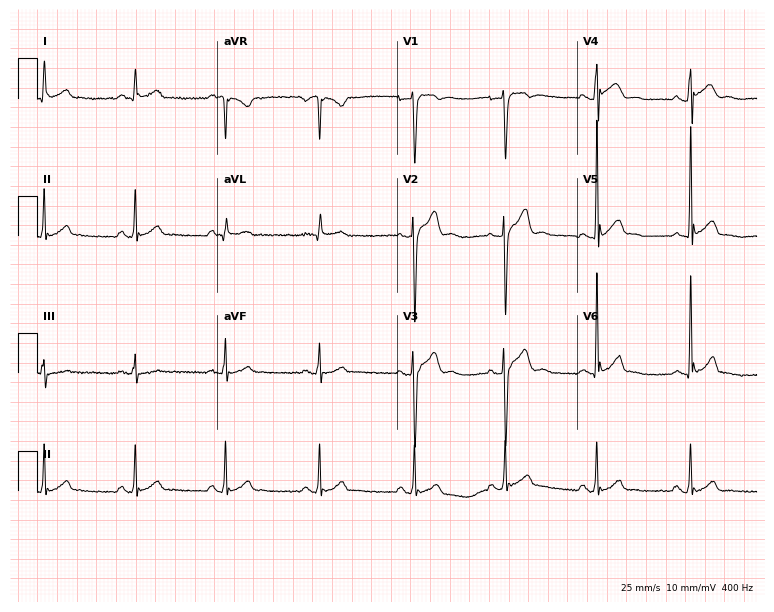
Standard 12-lead ECG recorded from a 34-year-old male. Read as a normal ECG.